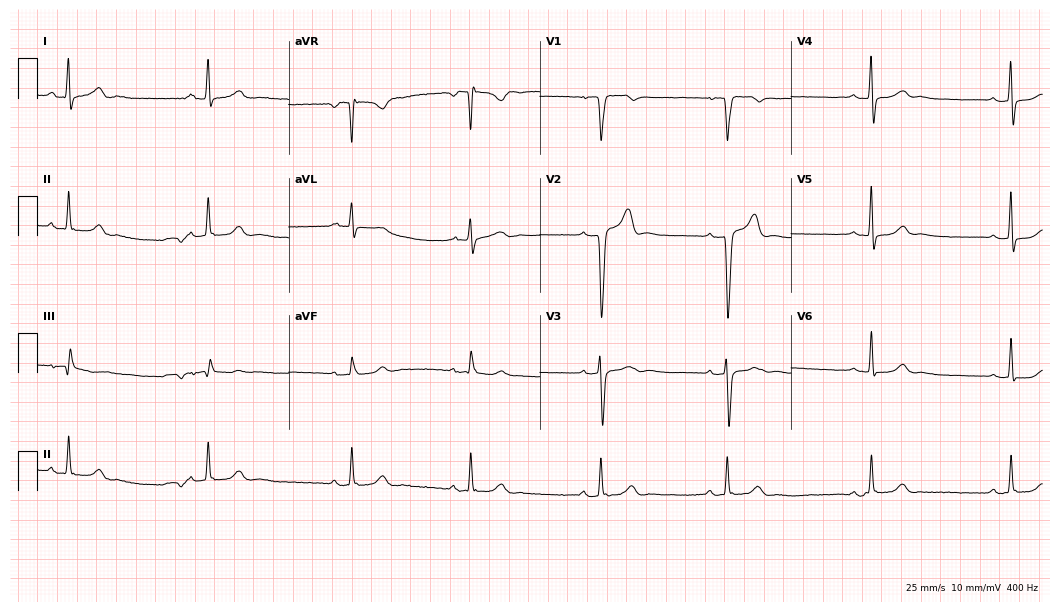
12-lead ECG (10.2-second recording at 400 Hz) from a man, 29 years old. Findings include sinus bradycardia (a sinus rate of 50 beats per minute or less).